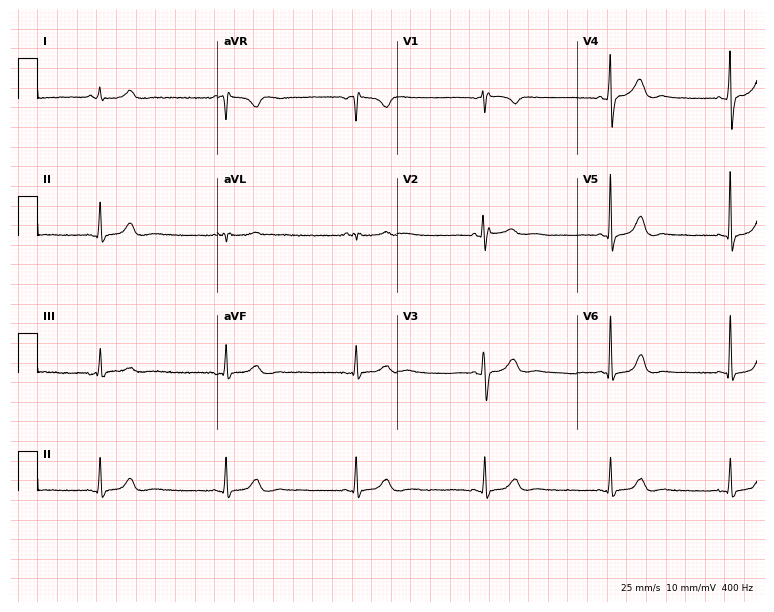
Standard 12-lead ECG recorded from a 39-year-old female patient. The tracing shows sinus bradycardia (a sinus rate of 50 beats per minute or less).